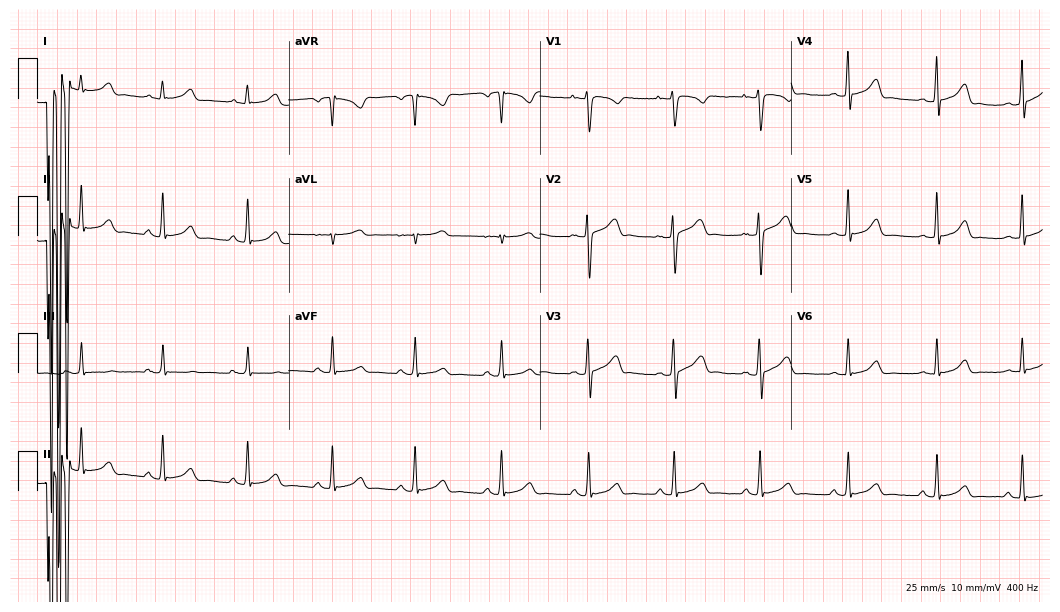
12-lead ECG (10.2-second recording at 400 Hz) from a woman, 24 years old. Screened for six findings — first-degree AV block, right bundle branch block, left bundle branch block, sinus bradycardia, atrial fibrillation, sinus tachycardia — none is recorded.